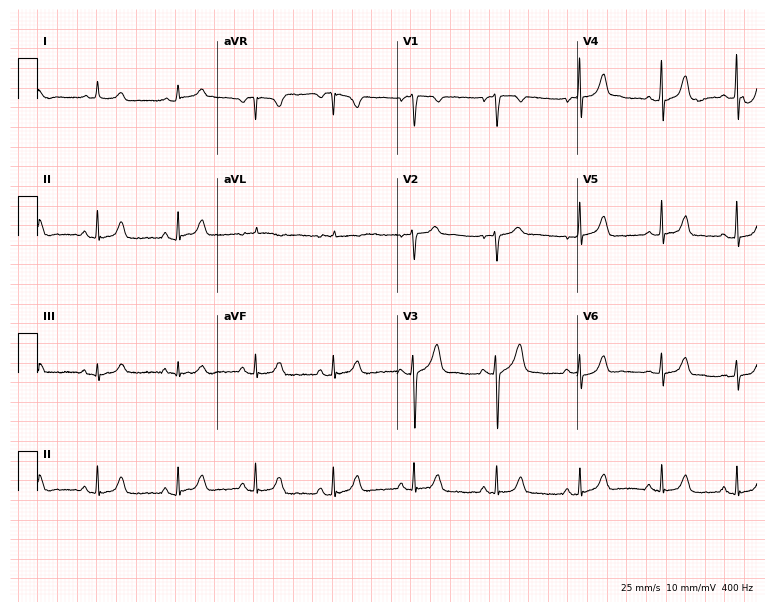
12-lead ECG (7.3-second recording at 400 Hz) from a female, 17 years old. Labelled as a normal ECG.